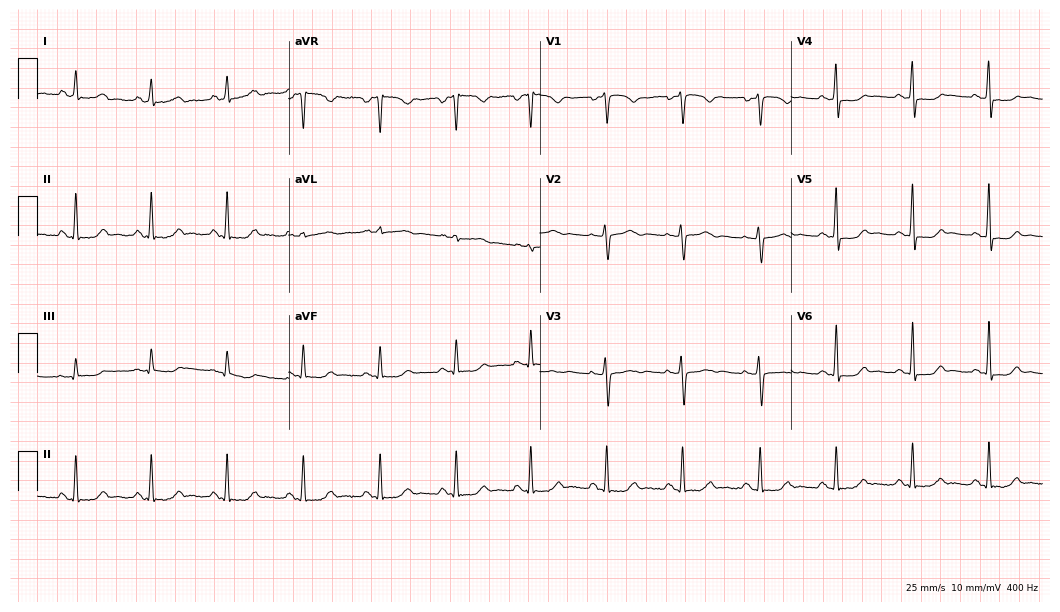
Electrocardiogram, a female, 58 years old. Of the six screened findings (first-degree AV block, right bundle branch block, left bundle branch block, sinus bradycardia, atrial fibrillation, sinus tachycardia), none is recorded. Only these six findings were labelled.